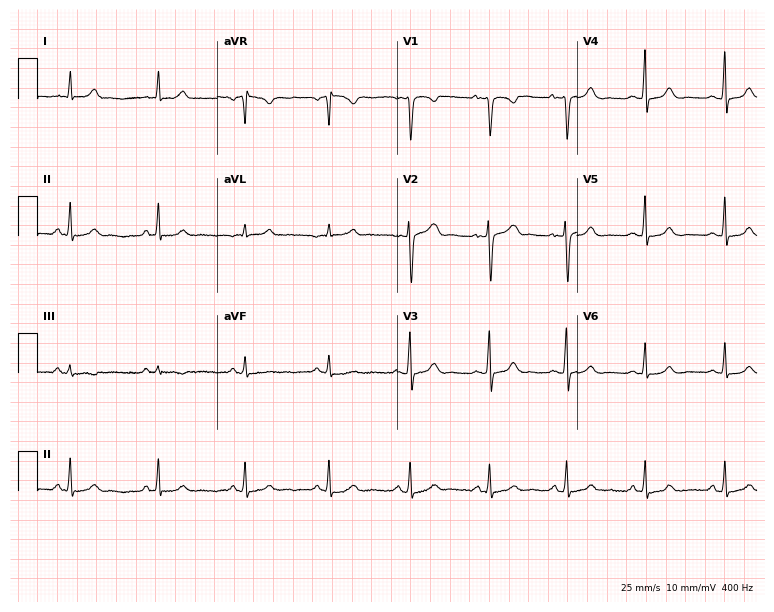
12-lead ECG from a female, 27 years old. Labelled as a normal ECG.